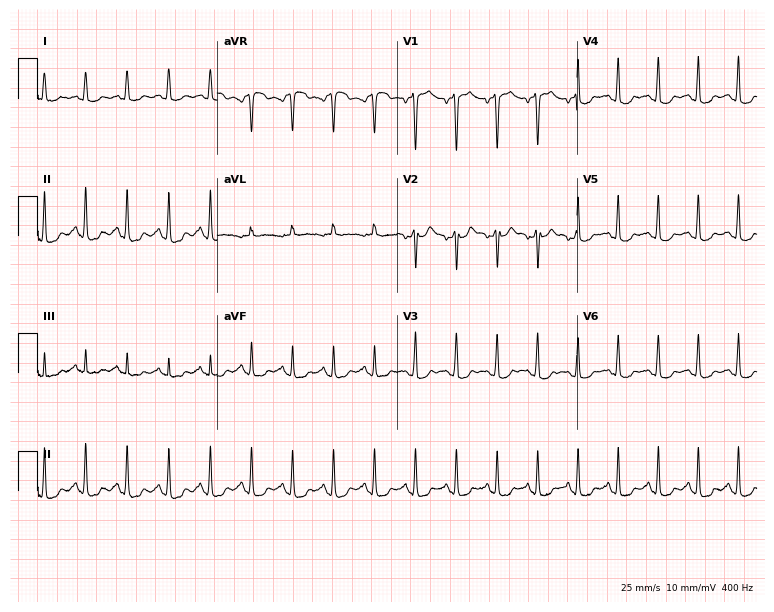
12-lead ECG from a 31-year-old woman. Findings include sinus tachycardia (a sinus rate of 100 beats per minute or more).